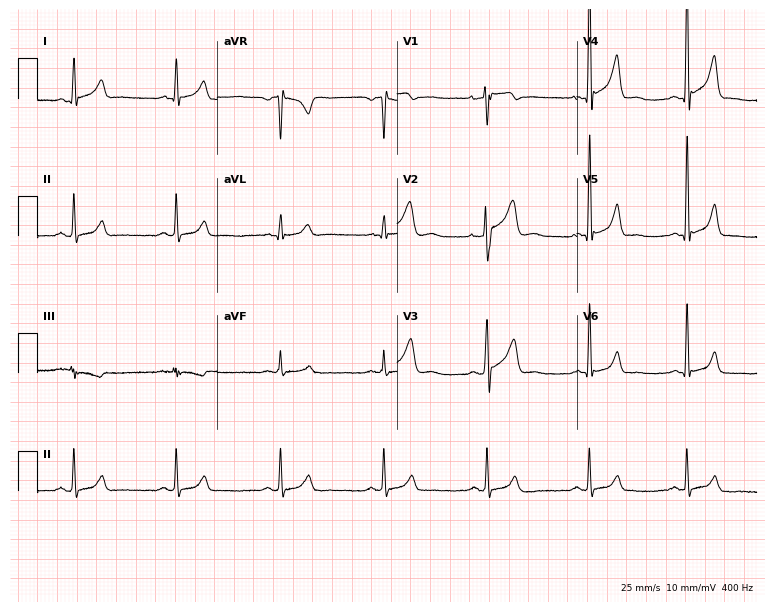
ECG (7.3-second recording at 400 Hz) — a 41-year-old male patient. Labelled as a normal ECG.